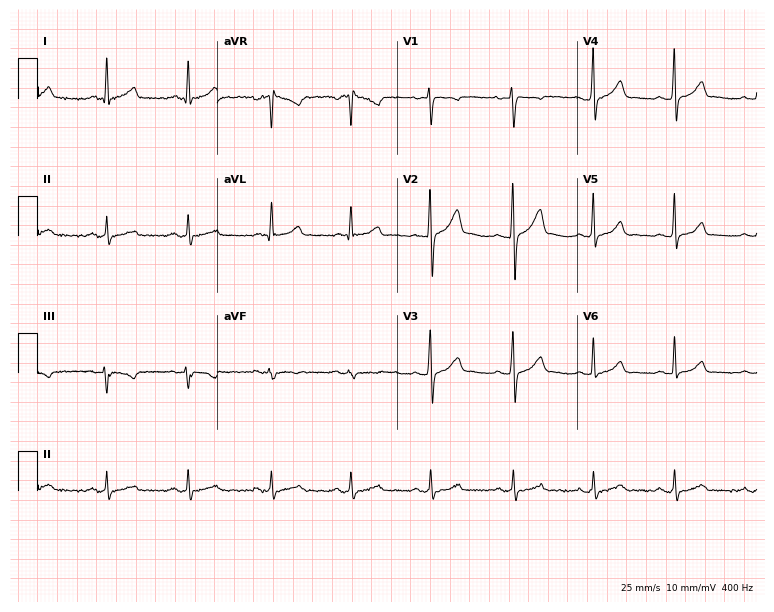
ECG — a 37-year-old male patient. Labelled as a normal ECG.